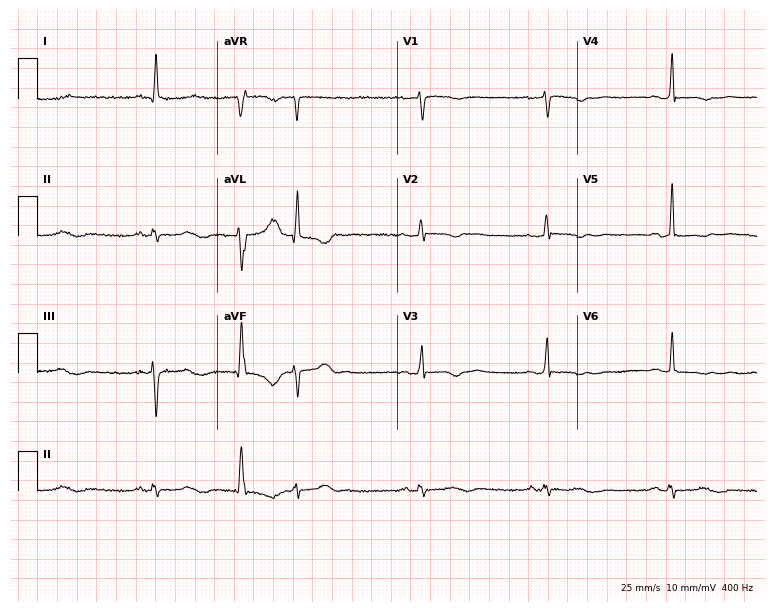
12-lead ECG (7.3-second recording at 400 Hz) from a 72-year-old female patient. Findings include sinus bradycardia (a sinus rate of 50 beats per minute or less).